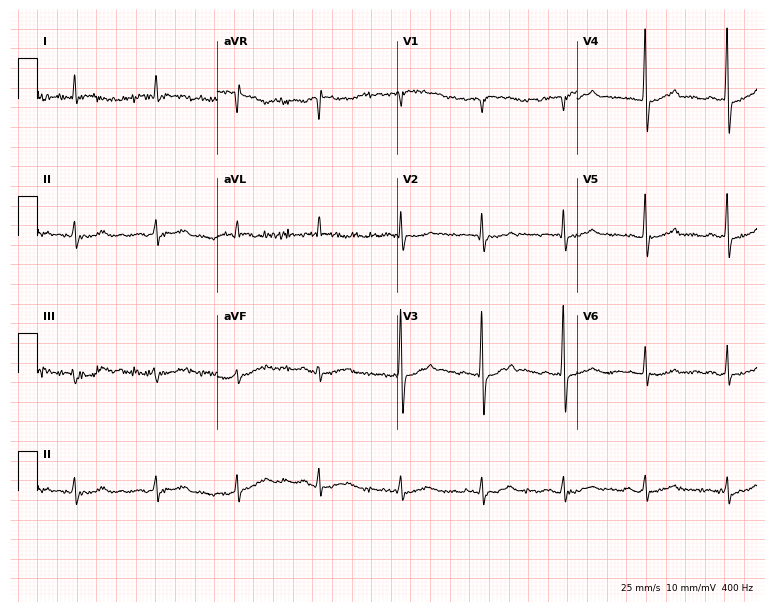
Standard 12-lead ECG recorded from an 82-year-old female (7.3-second recording at 400 Hz). None of these six findings is recorded: first-degree AV block, right bundle branch block, left bundle branch block, sinus bradycardia, atrial fibrillation, sinus tachycardia.